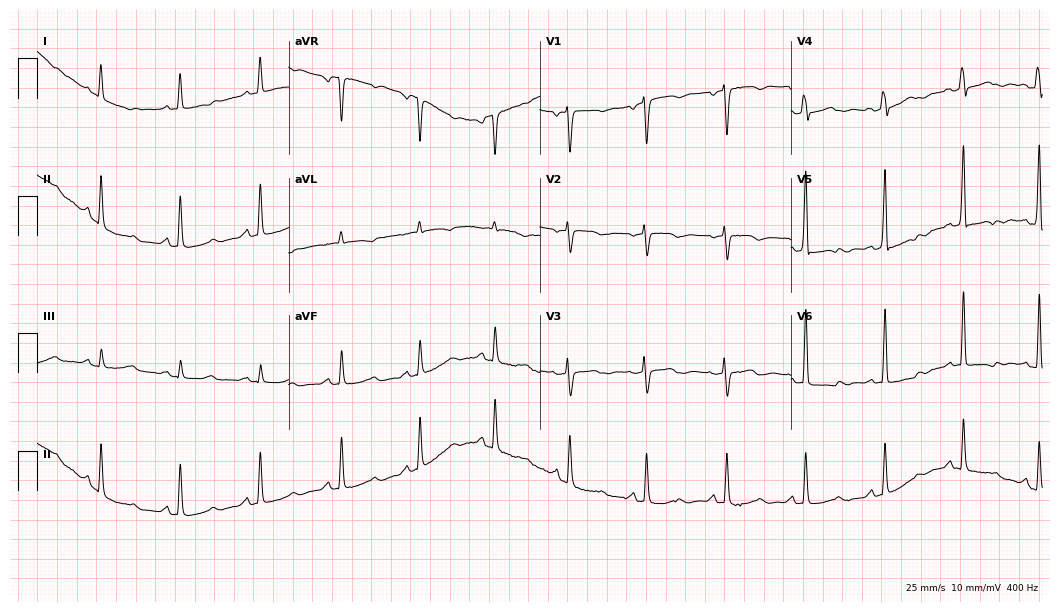
Electrocardiogram, a 76-year-old woman. Overall reading on record: normal ECG.